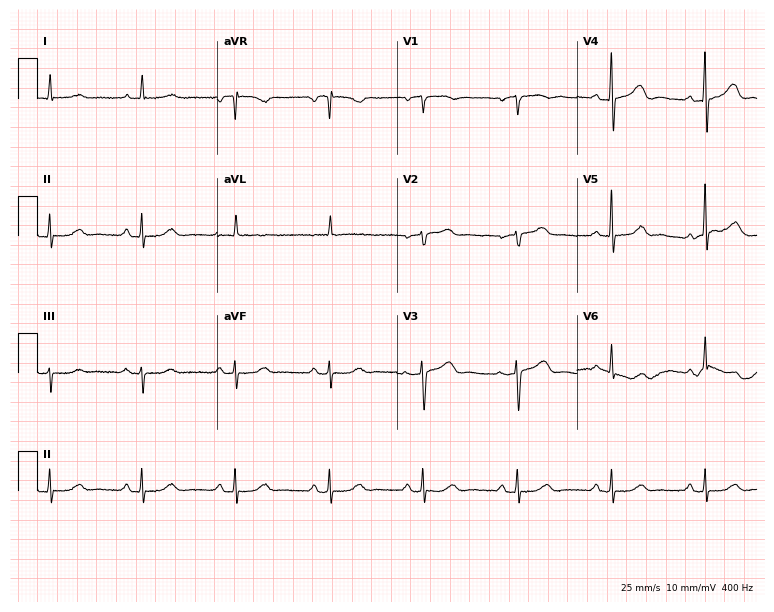
Electrocardiogram, a female, 74 years old. Overall reading on record: normal ECG.